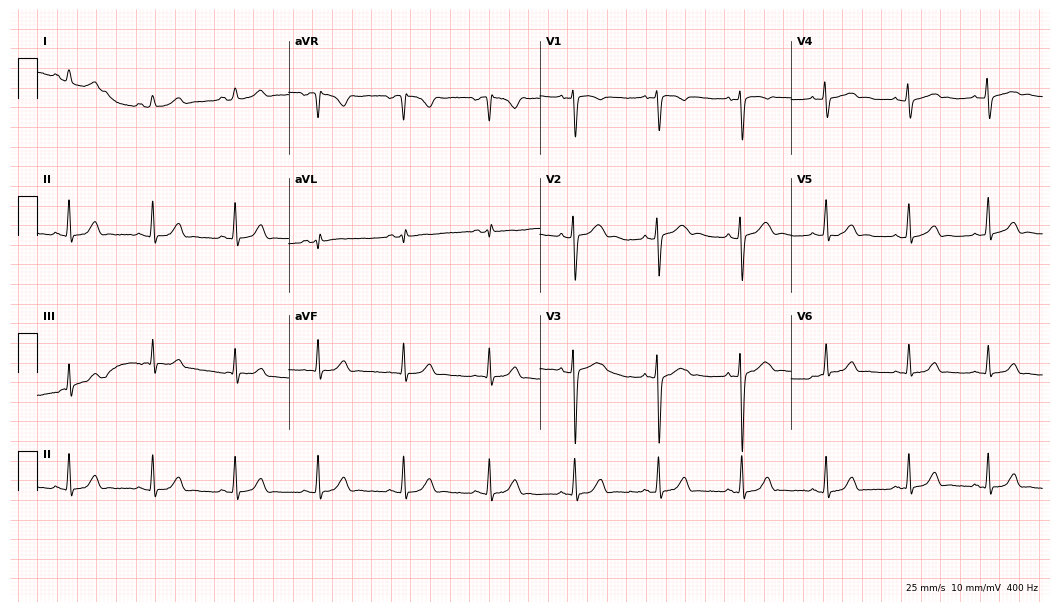
Electrocardiogram, a 22-year-old female patient. Overall reading on record: normal ECG.